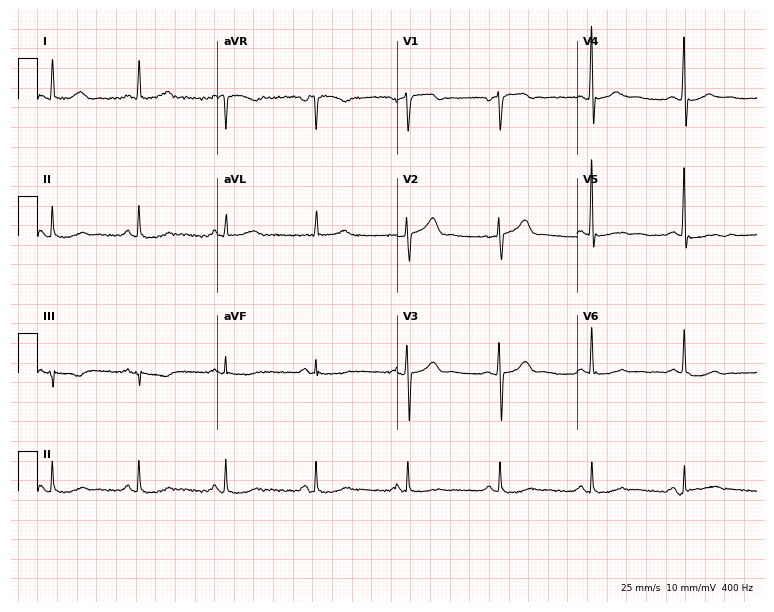
ECG (7.3-second recording at 400 Hz) — a male patient, 63 years old. Labelled as a normal ECG.